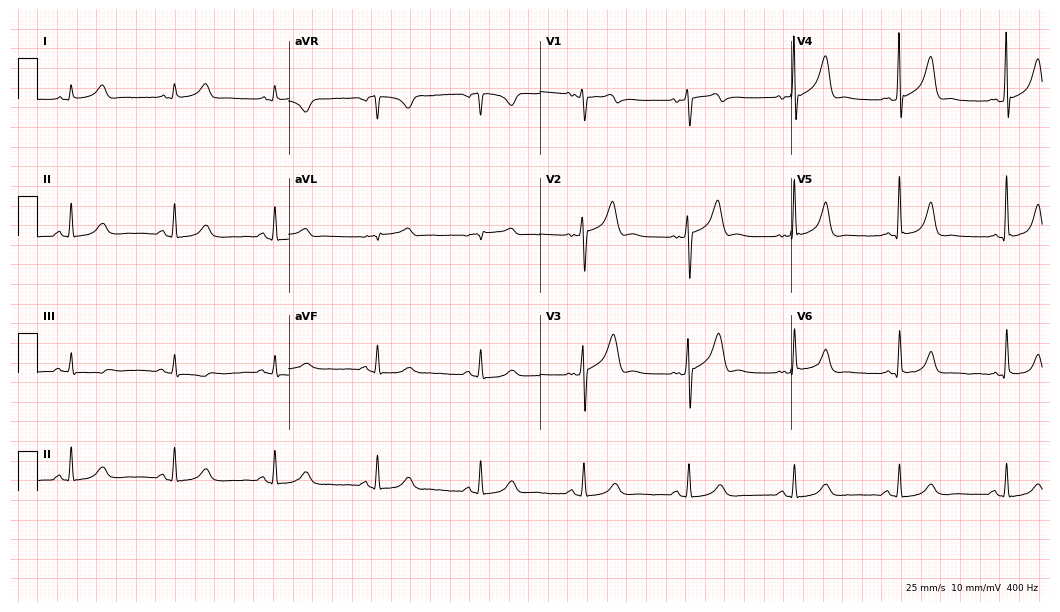
Electrocardiogram, a 51-year-old male. Of the six screened findings (first-degree AV block, right bundle branch block (RBBB), left bundle branch block (LBBB), sinus bradycardia, atrial fibrillation (AF), sinus tachycardia), none is recorded.